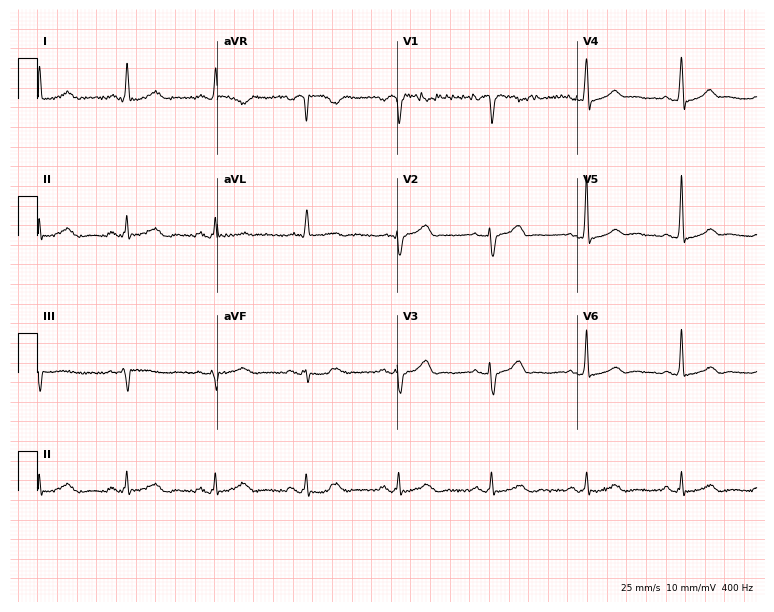
Electrocardiogram (7.3-second recording at 400 Hz), a 53-year-old male. Overall reading on record: normal ECG.